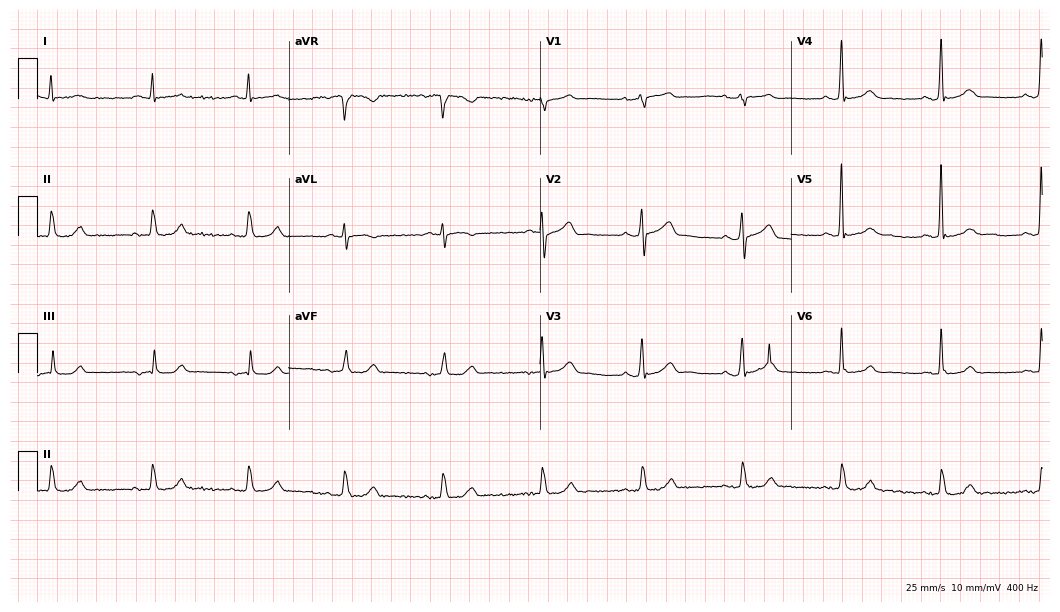
Electrocardiogram (10.2-second recording at 400 Hz), a male patient, 60 years old. Of the six screened findings (first-degree AV block, right bundle branch block (RBBB), left bundle branch block (LBBB), sinus bradycardia, atrial fibrillation (AF), sinus tachycardia), none is recorded. Findings outside these six are not listed.